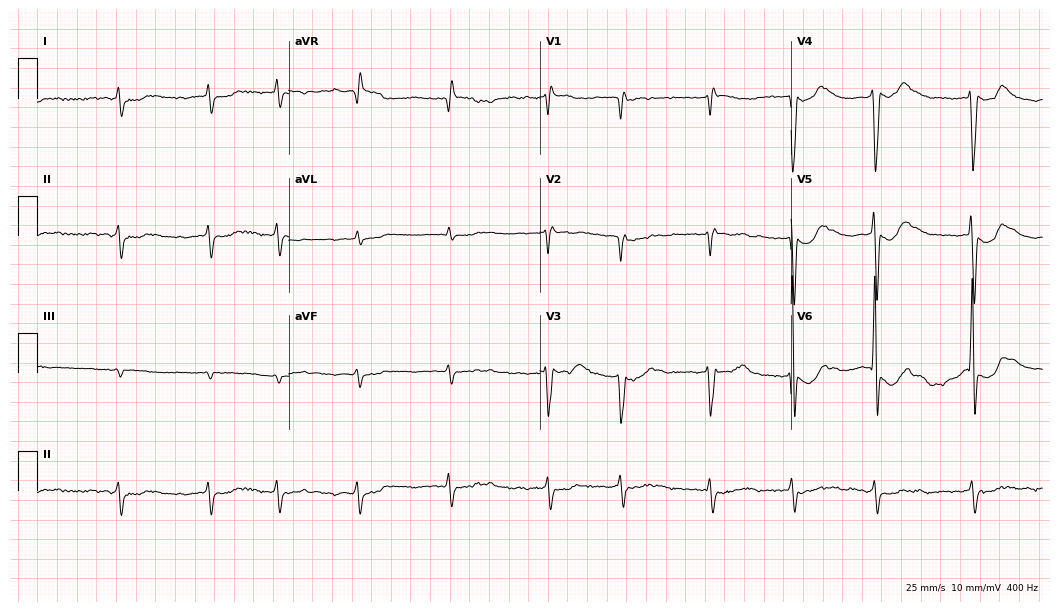
Electrocardiogram (10.2-second recording at 400 Hz), an 82-year-old male. Interpretation includes right bundle branch block, atrial fibrillation.